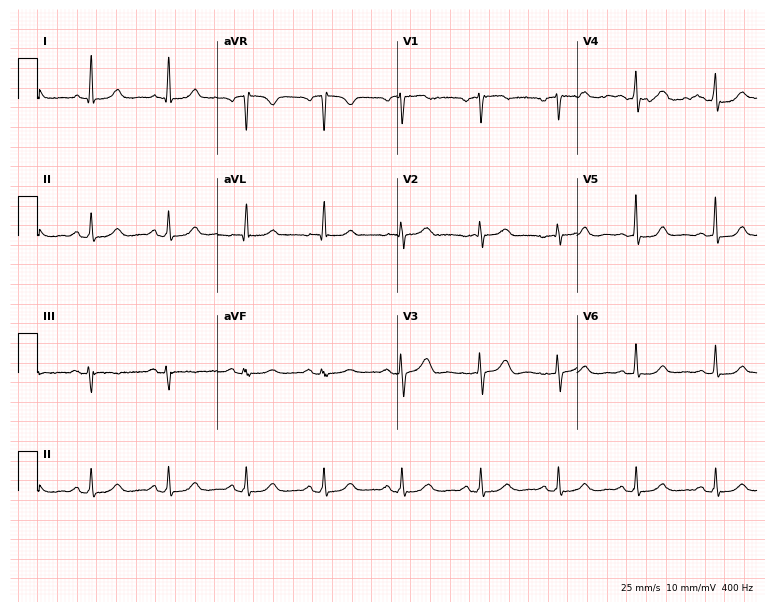
12-lead ECG from a 56-year-old woman. Labelled as a normal ECG.